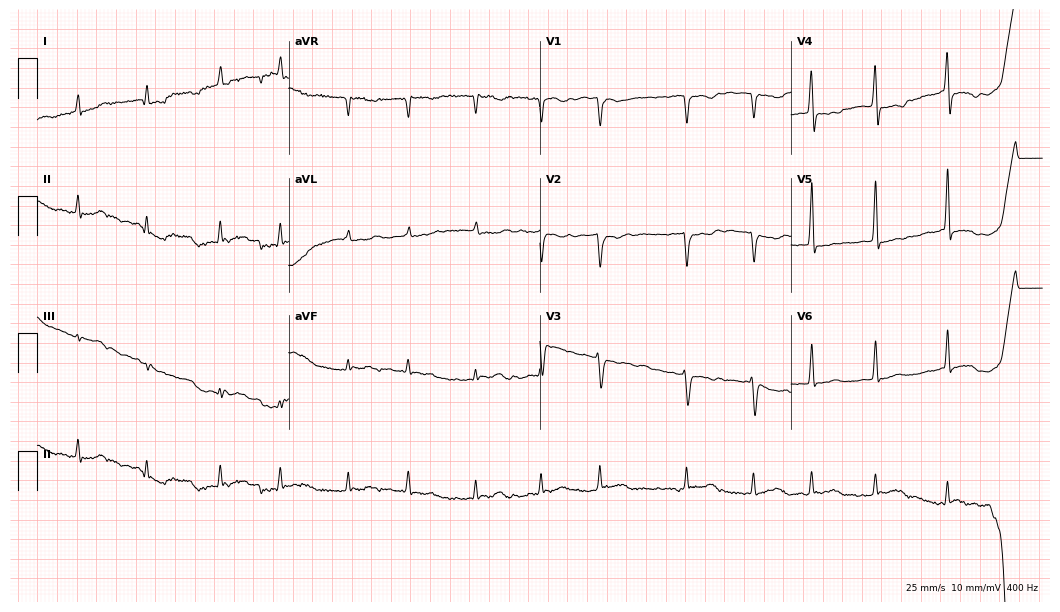
12-lead ECG (10.2-second recording at 400 Hz) from a male patient, 80 years old. Screened for six findings — first-degree AV block, right bundle branch block, left bundle branch block, sinus bradycardia, atrial fibrillation, sinus tachycardia — none is recorded.